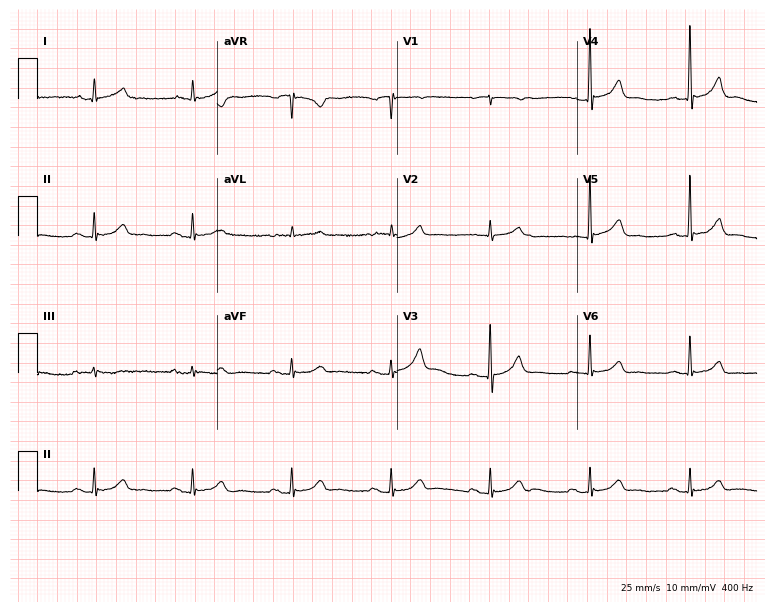
ECG (7.3-second recording at 400 Hz) — an 83-year-old man. Labelled as a normal ECG.